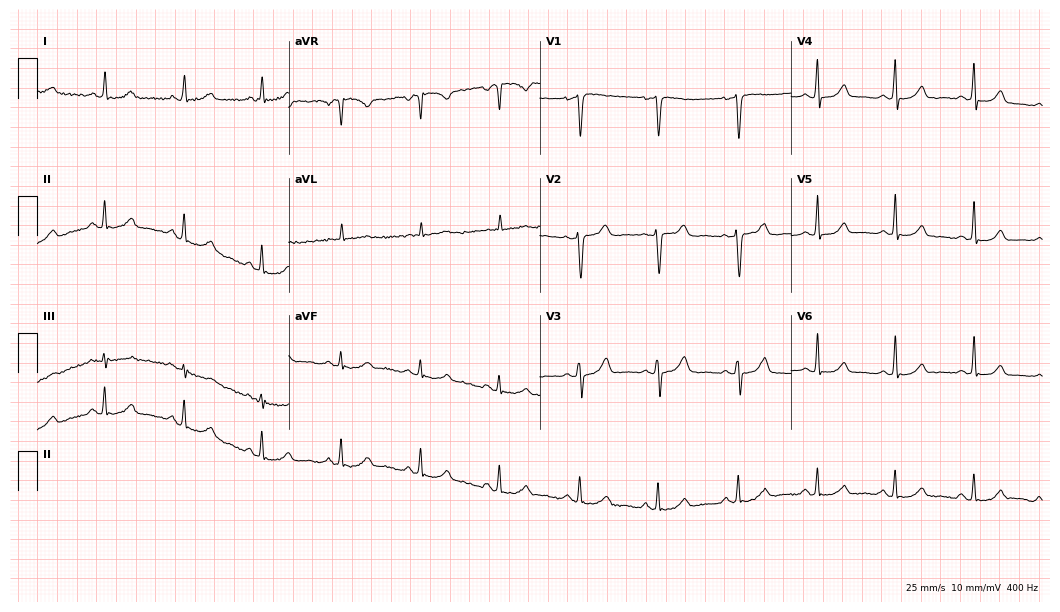
Electrocardiogram, a female patient, 65 years old. Overall reading on record: normal ECG.